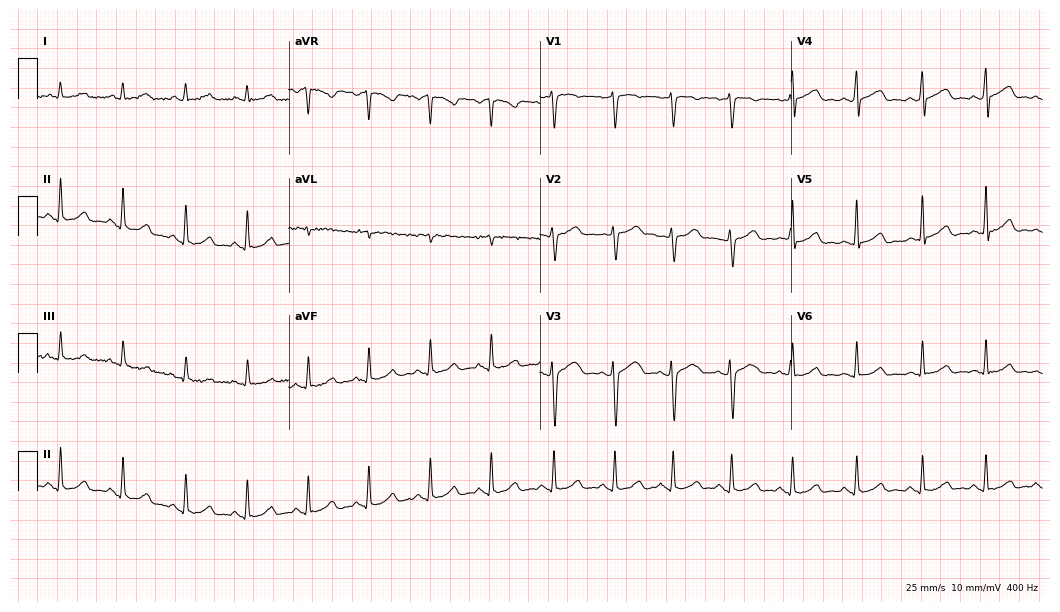
Electrocardiogram (10.2-second recording at 400 Hz), a 34-year-old woman. Of the six screened findings (first-degree AV block, right bundle branch block, left bundle branch block, sinus bradycardia, atrial fibrillation, sinus tachycardia), none is recorded. Other findings, if any, are not listed.